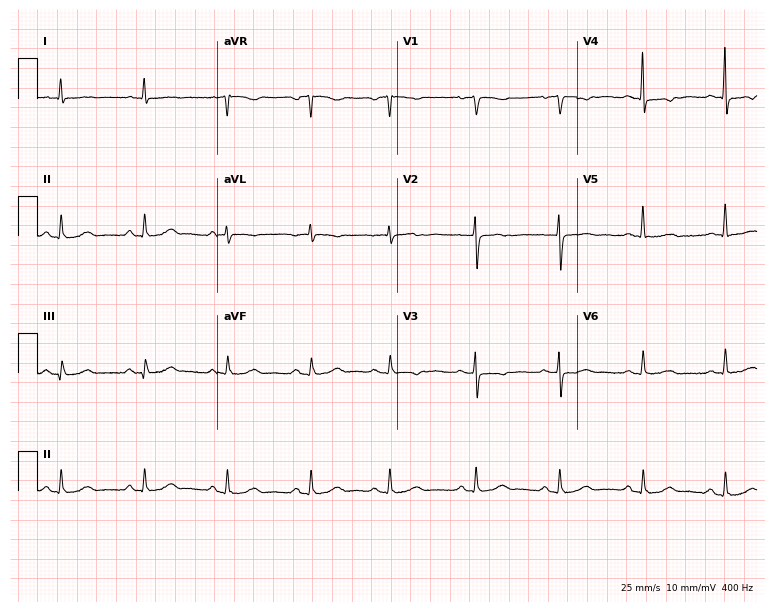
12-lead ECG (7.3-second recording at 400 Hz) from a 76-year-old woman. Screened for six findings — first-degree AV block, right bundle branch block, left bundle branch block, sinus bradycardia, atrial fibrillation, sinus tachycardia — none is recorded. Other findings, if any, are not listed.